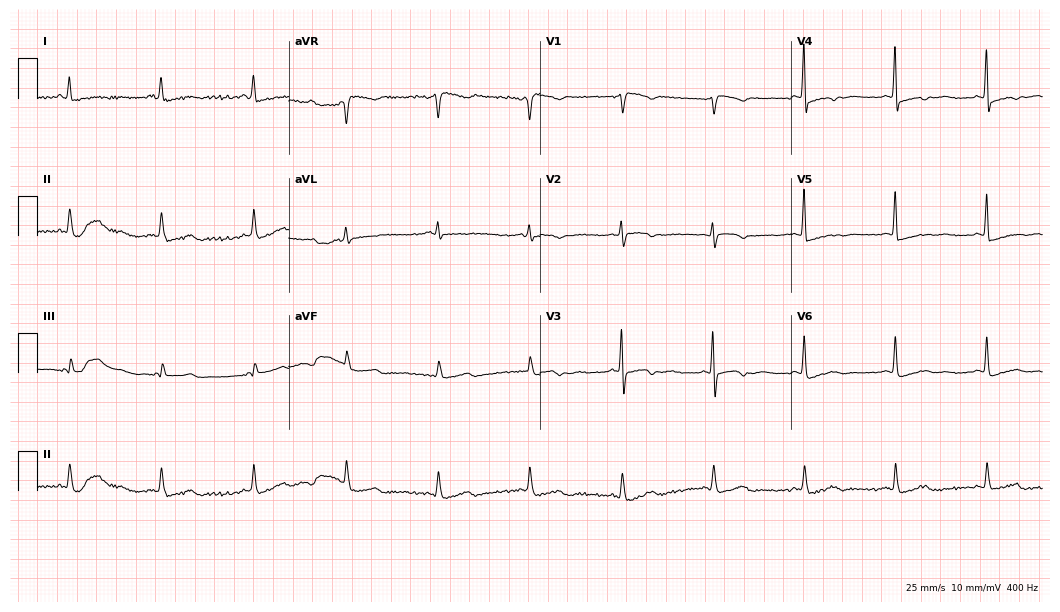
12-lead ECG from a 69-year-old female patient. Screened for six findings — first-degree AV block, right bundle branch block, left bundle branch block, sinus bradycardia, atrial fibrillation, sinus tachycardia — none is recorded. Only these six findings were labelled.